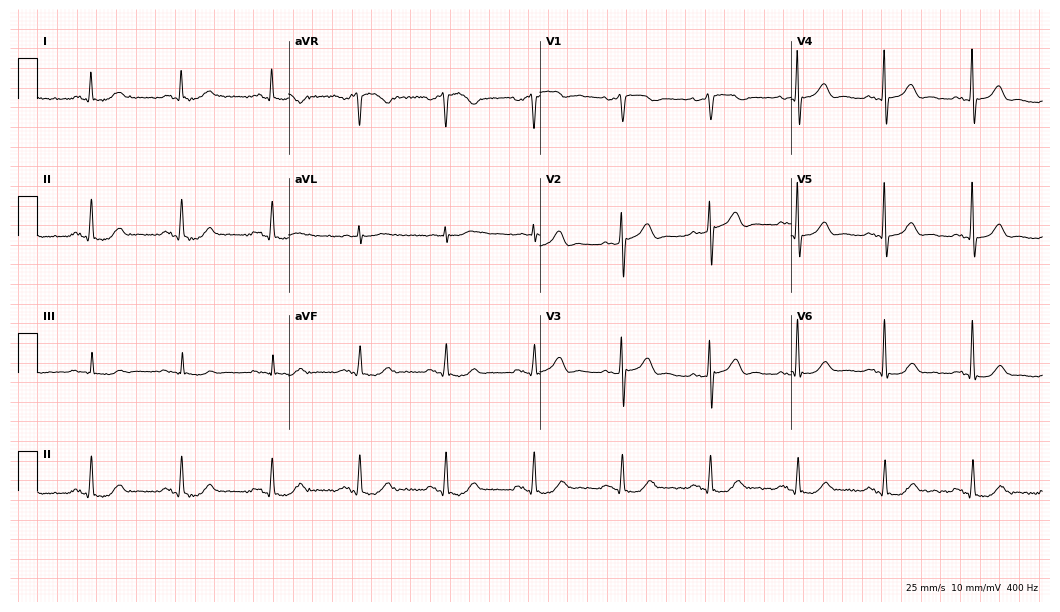
12-lead ECG from a male, 73 years old. Labelled as a normal ECG.